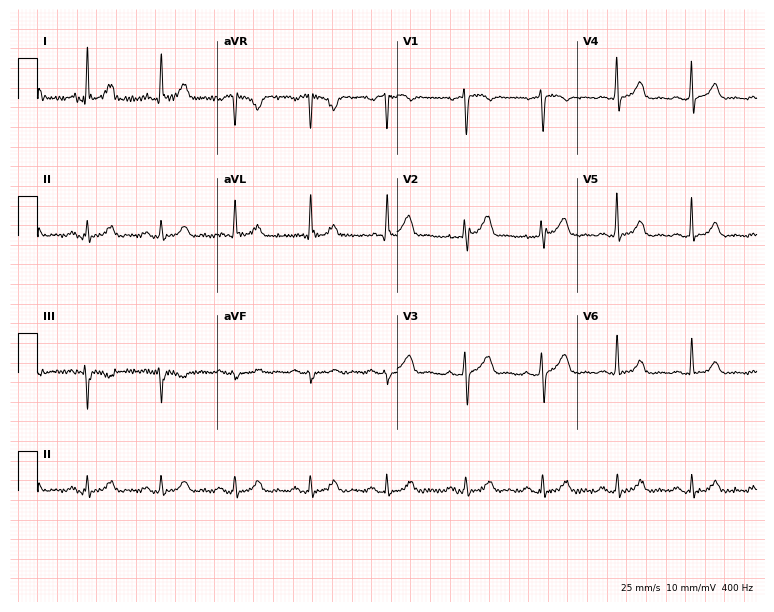
12-lead ECG from a 56-year-old male (7.3-second recording at 400 Hz). Recorded interpretation: within normal limits.